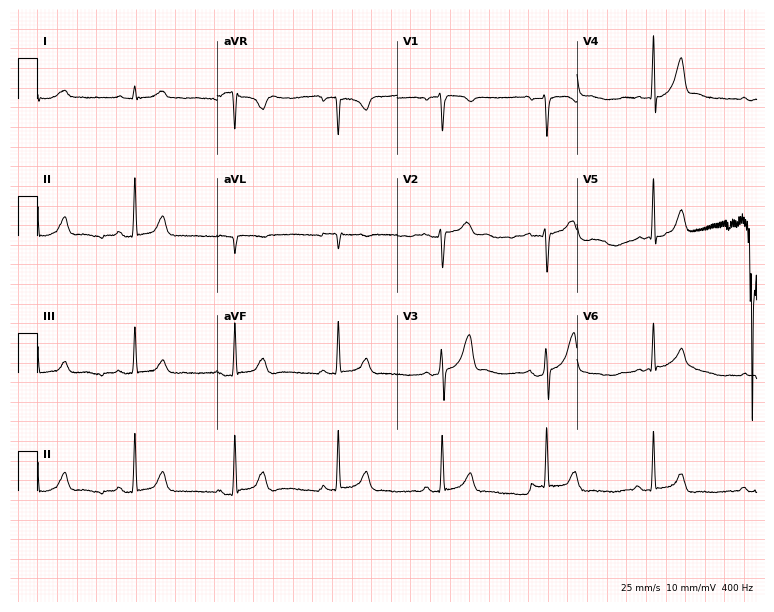
12-lead ECG from a man, 50 years old. Labelled as a normal ECG.